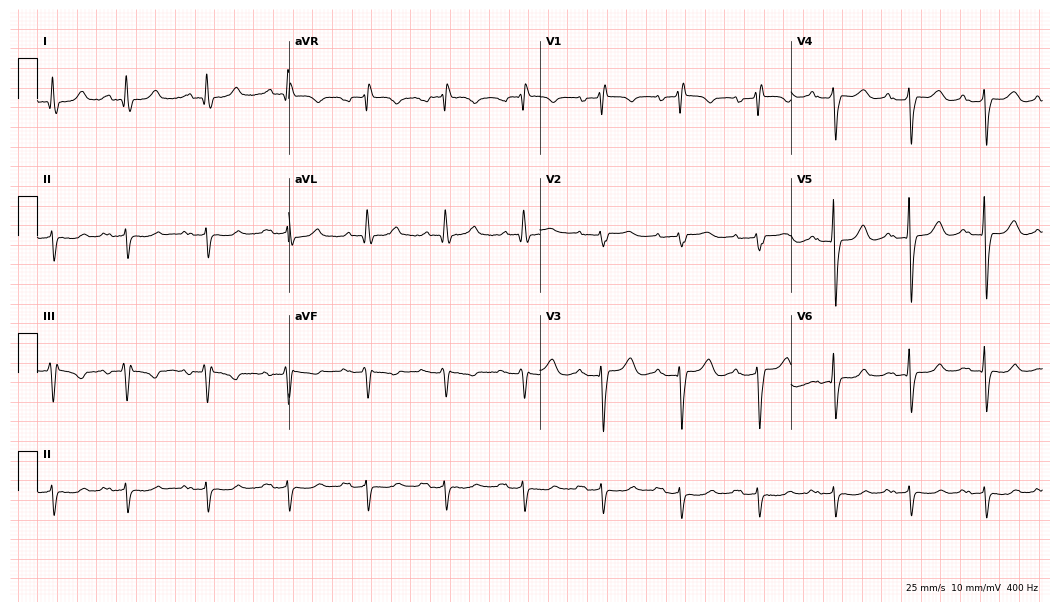
Resting 12-lead electrocardiogram (10.2-second recording at 400 Hz). Patient: a 69-year-old man. The tracing shows first-degree AV block, right bundle branch block.